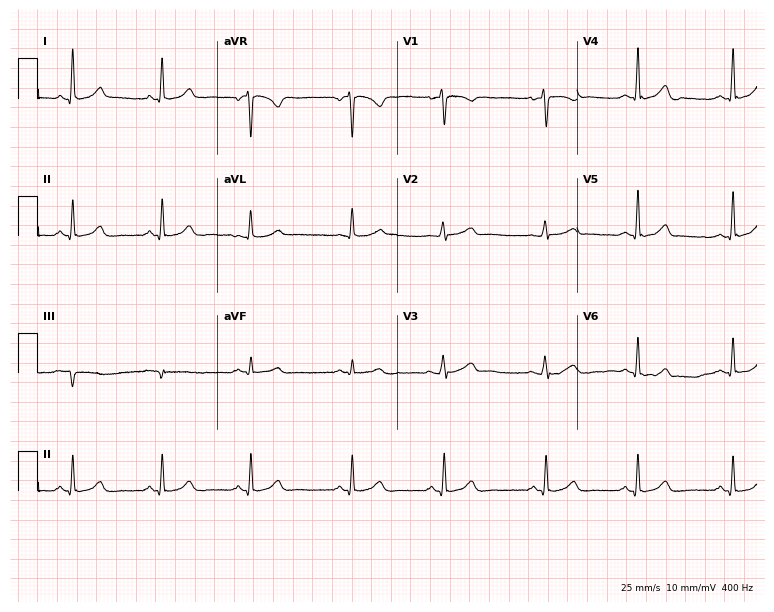
Resting 12-lead electrocardiogram. Patient: a 29-year-old female. Read as a normal ECG.